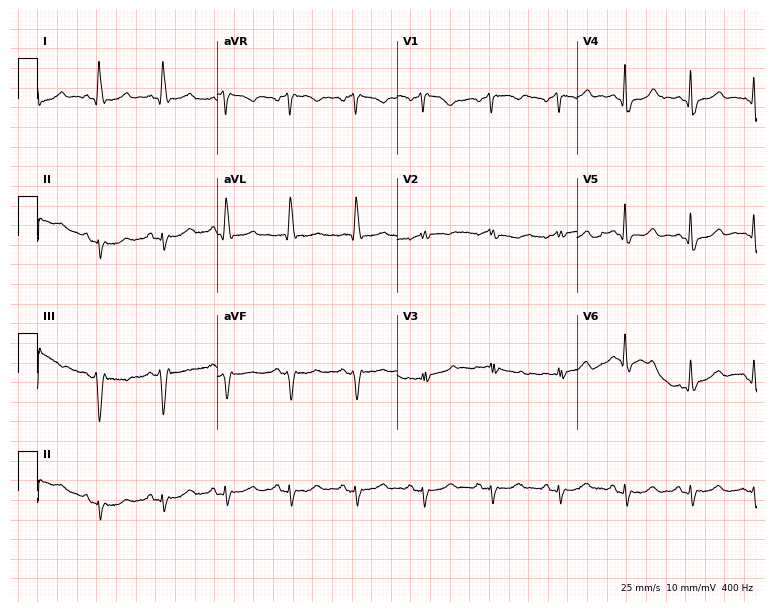
ECG (7.3-second recording at 400 Hz) — a man, 81 years old. Screened for six findings — first-degree AV block, right bundle branch block, left bundle branch block, sinus bradycardia, atrial fibrillation, sinus tachycardia — none is recorded. Findings outside these six are not listed.